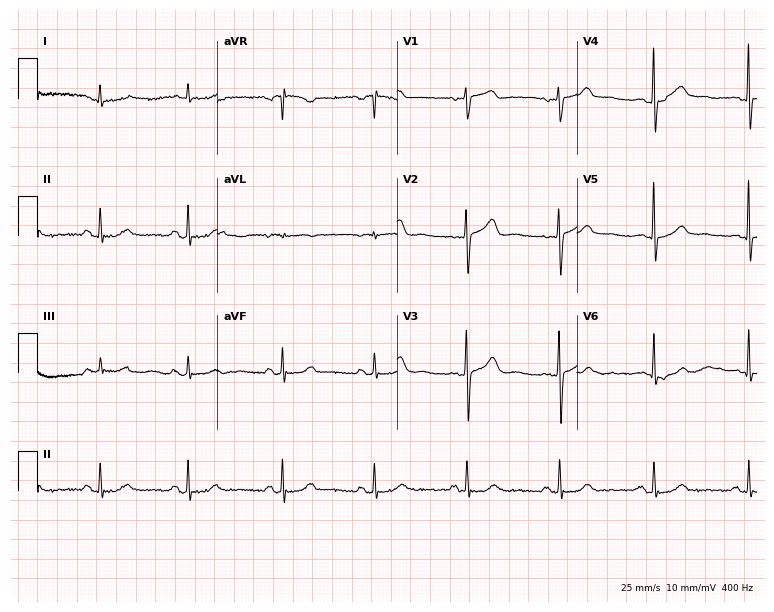
12-lead ECG from a male patient, 68 years old. No first-degree AV block, right bundle branch block, left bundle branch block, sinus bradycardia, atrial fibrillation or sinus tachycardia recorded for this tracing.